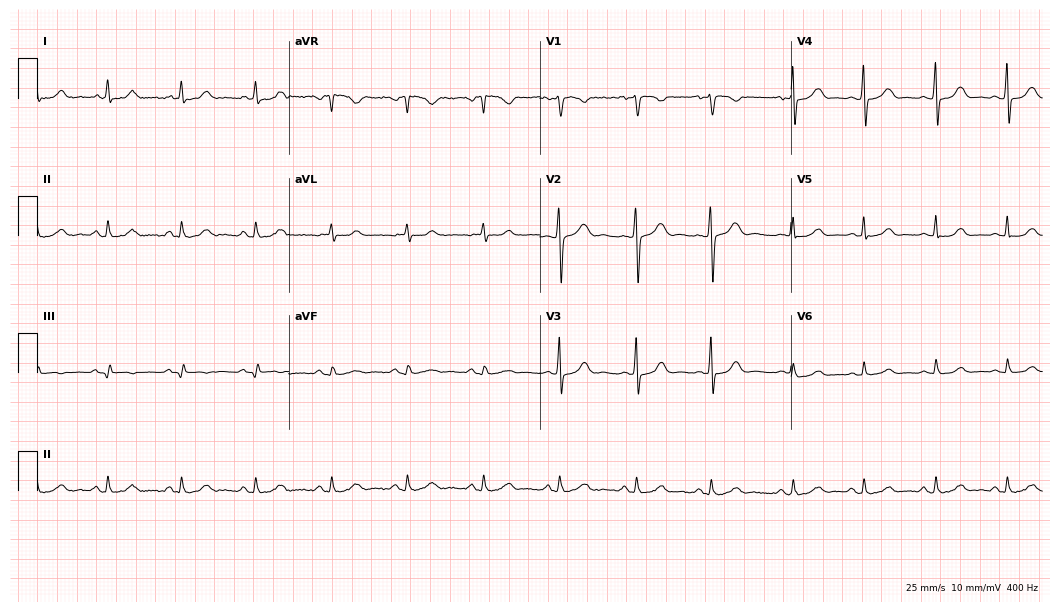
Standard 12-lead ECG recorded from a 35-year-old female patient (10.2-second recording at 400 Hz). None of these six findings is recorded: first-degree AV block, right bundle branch block (RBBB), left bundle branch block (LBBB), sinus bradycardia, atrial fibrillation (AF), sinus tachycardia.